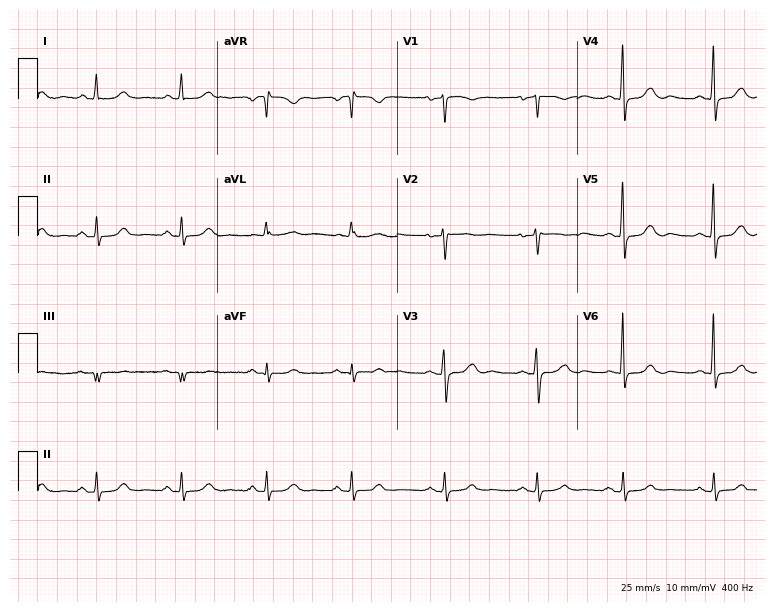
12-lead ECG from a 62-year-old woman. Labelled as a normal ECG.